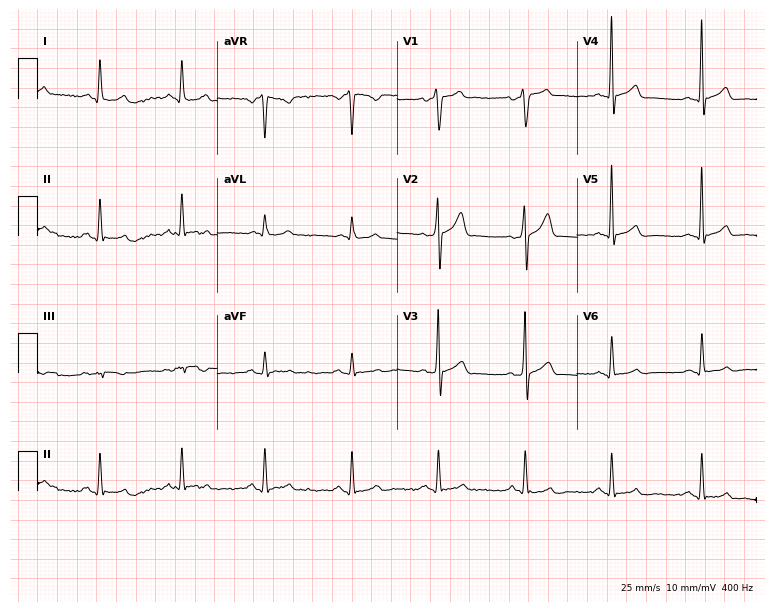
Standard 12-lead ECG recorded from a 39-year-old male. None of these six findings is recorded: first-degree AV block, right bundle branch block, left bundle branch block, sinus bradycardia, atrial fibrillation, sinus tachycardia. Other findings, if any, are not listed.